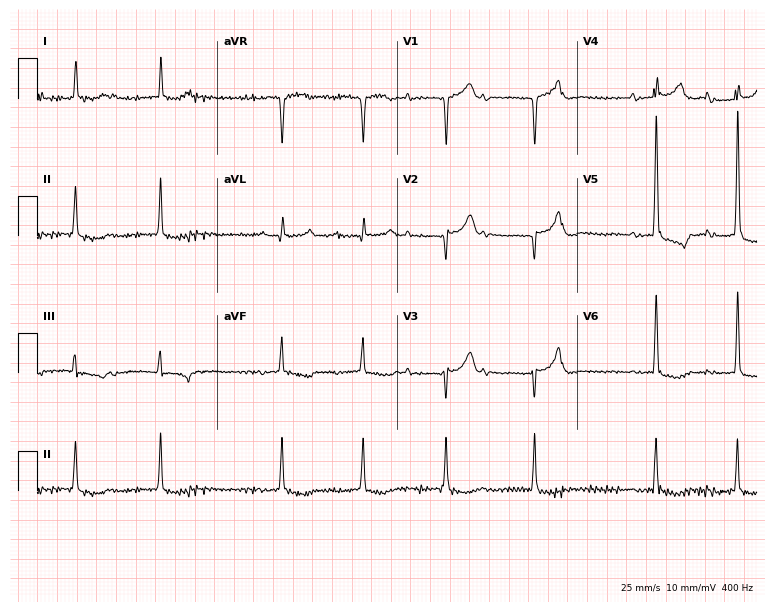
12-lead ECG (7.3-second recording at 400 Hz) from a female patient, 78 years old. Findings include atrial fibrillation (AF).